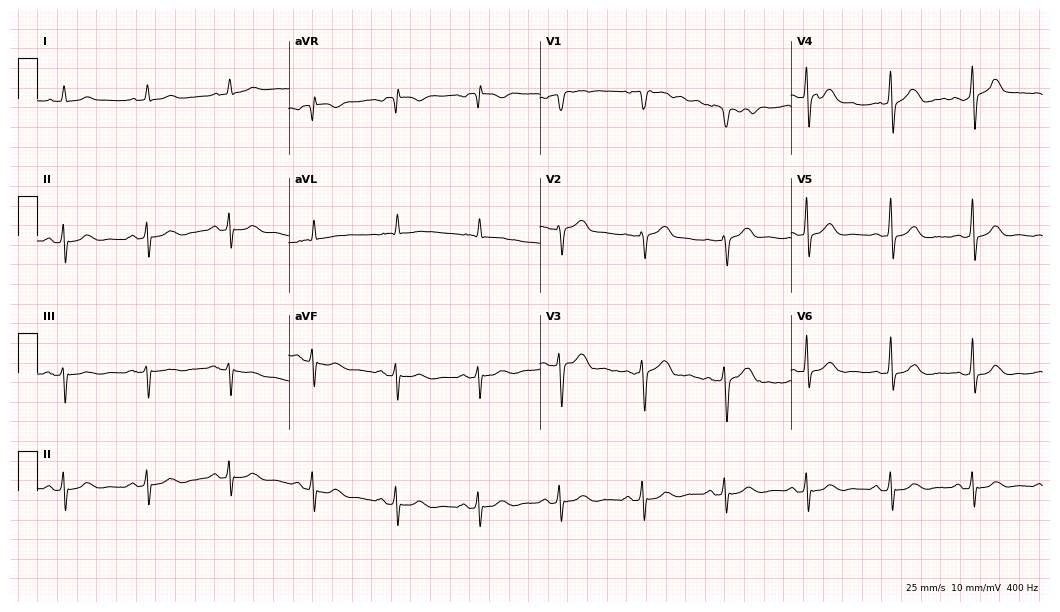
Electrocardiogram, an 81-year-old male. Of the six screened findings (first-degree AV block, right bundle branch block, left bundle branch block, sinus bradycardia, atrial fibrillation, sinus tachycardia), none is recorded. Other findings, if any, are not listed.